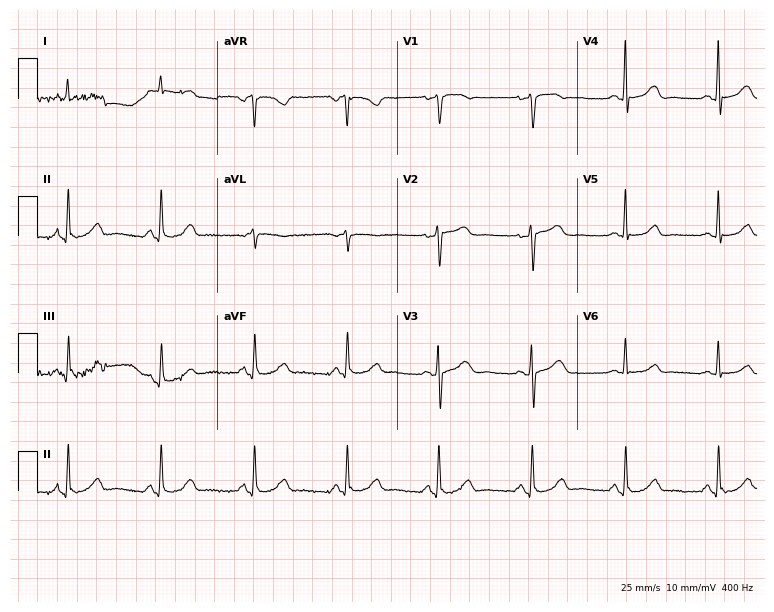
Electrocardiogram, a woman, 58 years old. Overall reading on record: normal ECG.